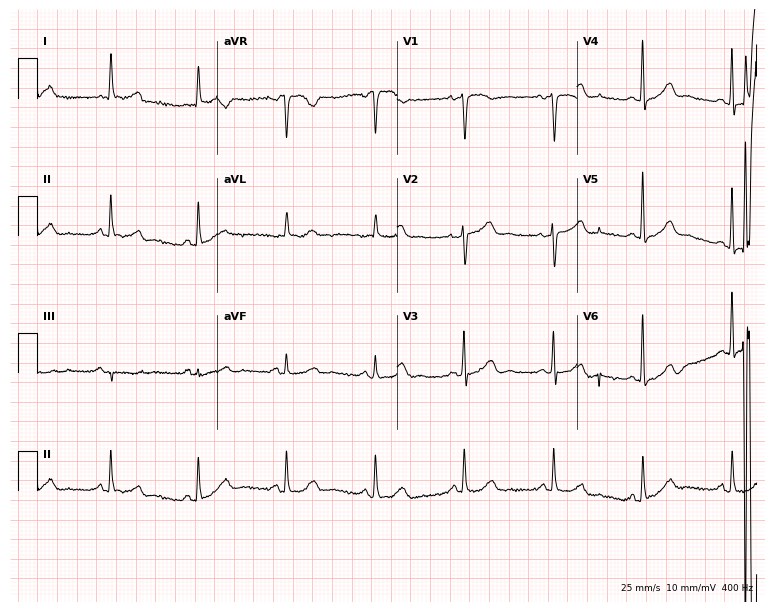
ECG (7.3-second recording at 400 Hz) — an 80-year-old female patient. Screened for six findings — first-degree AV block, right bundle branch block (RBBB), left bundle branch block (LBBB), sinus bradycardia, atrial fibrillation (AF), sinus tachycardia — none is recorded. Findings outside these six are not listed.